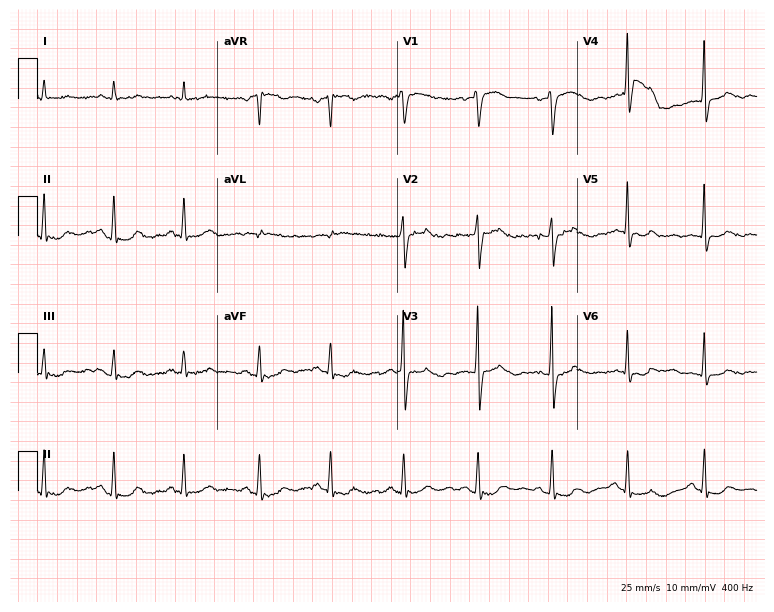
12-lead ECG from a 68-year-old female patient (7.3-second recording at 400 Hz). No first-degree AV block, right bundle branch block (RBBB), left bundle branch block (LBBB), sinus bradycardia, atrial fibrillation (AF) or sinus tachycardia recorded for this tracing.